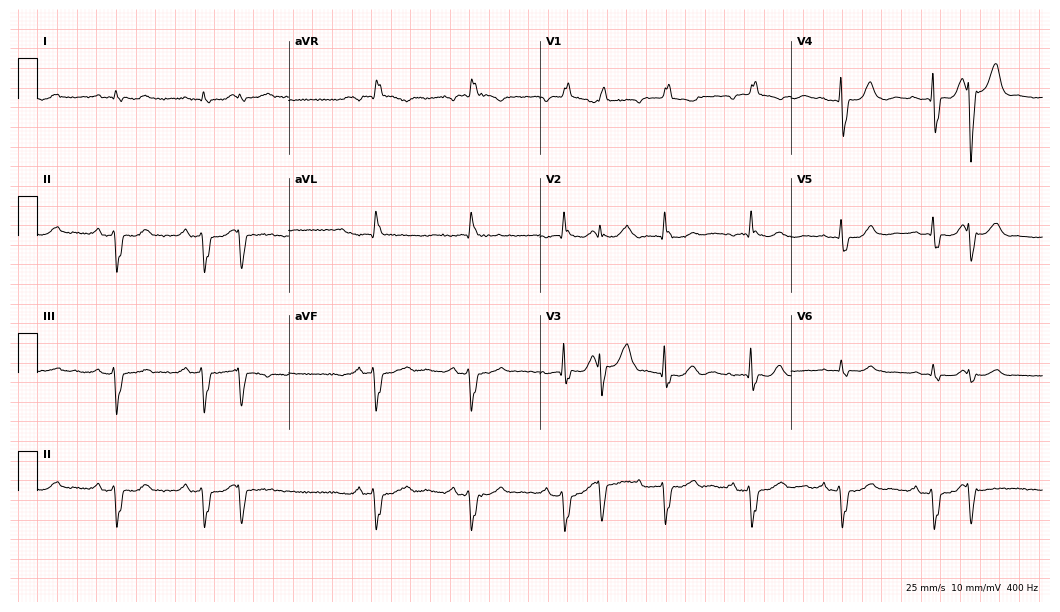
12-lead ECG (10.2-second recording at 400 Hz) from a female patient, 79 years old. Findings include right bundle branch block.